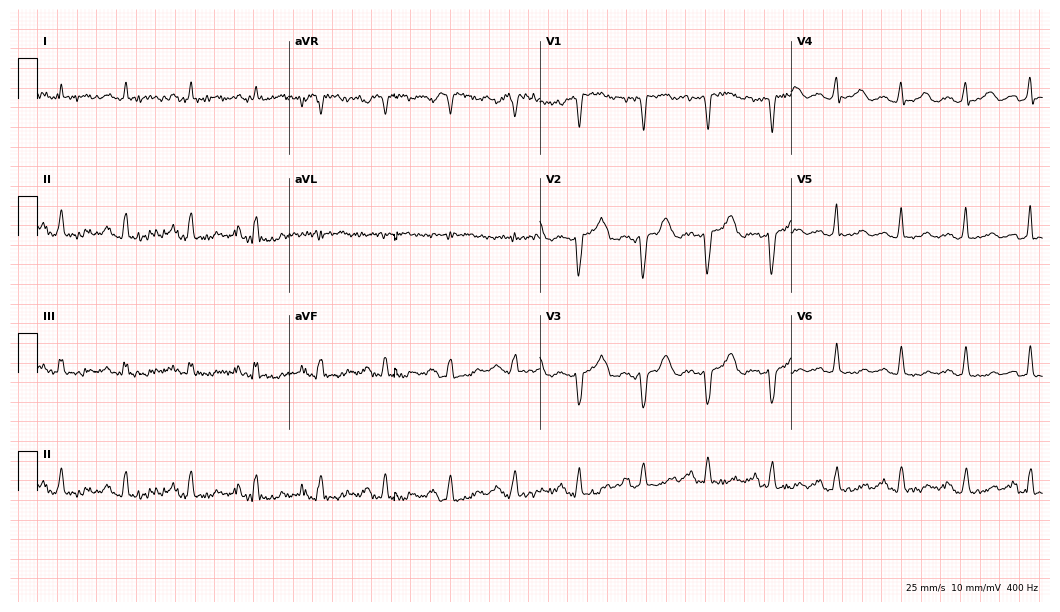
ECG (10.2-second recording at 400 Hz) — a 56-year-old female patient. Findings include first-degree AV block.